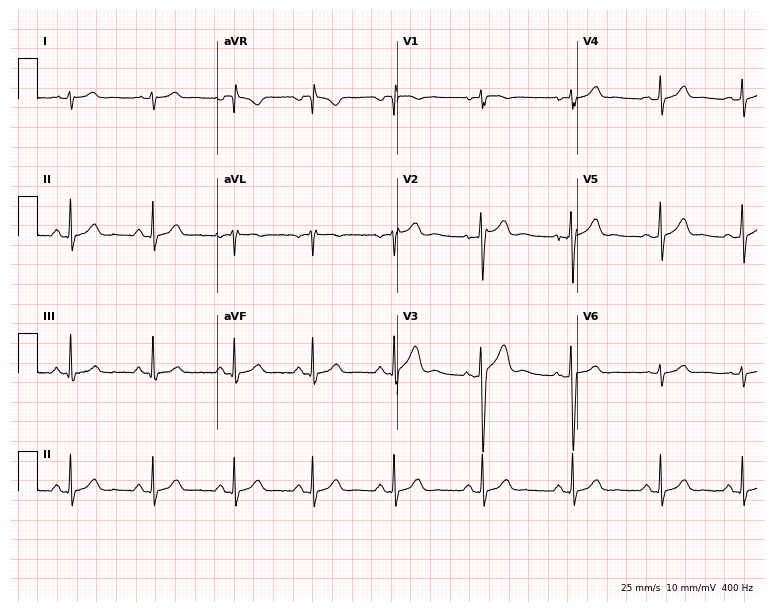
12-lead ECG (7.3-second recording at 400 Hz) from a 19-year-old man. Labelled as a normal ECG.